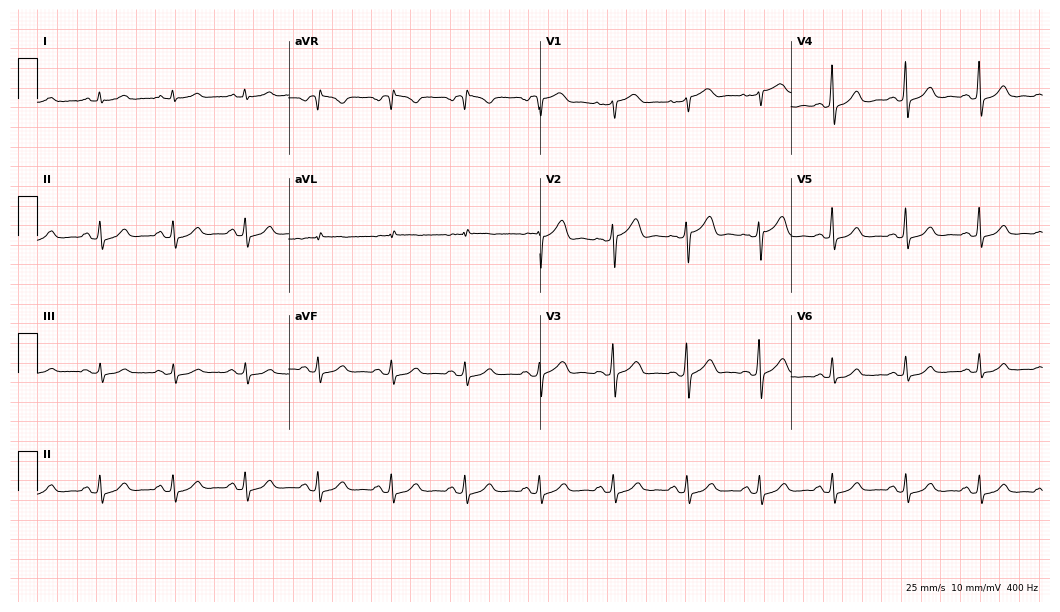
Standard 12-lead ECG recorded from a female patient, 52 years old. Read as a normal ECG.